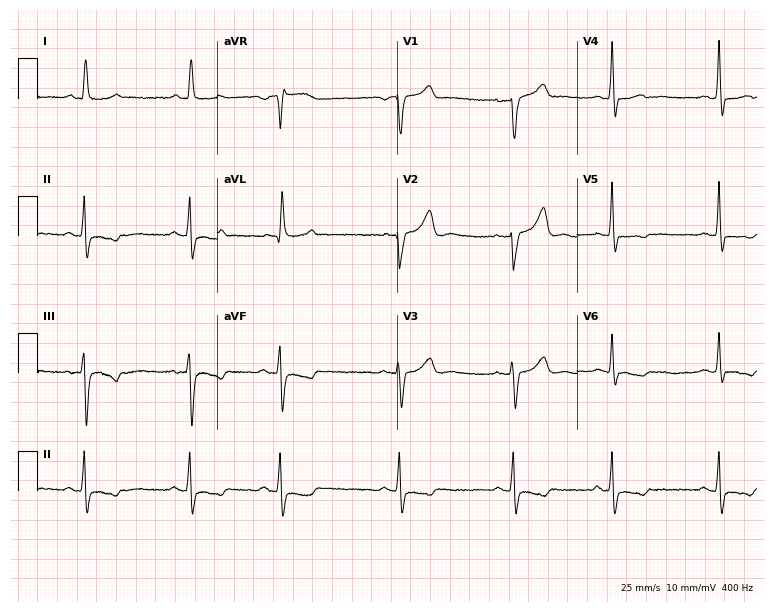
12-lead ECG from a woman, 78 years old. Recorded interpretation: within normal limits.